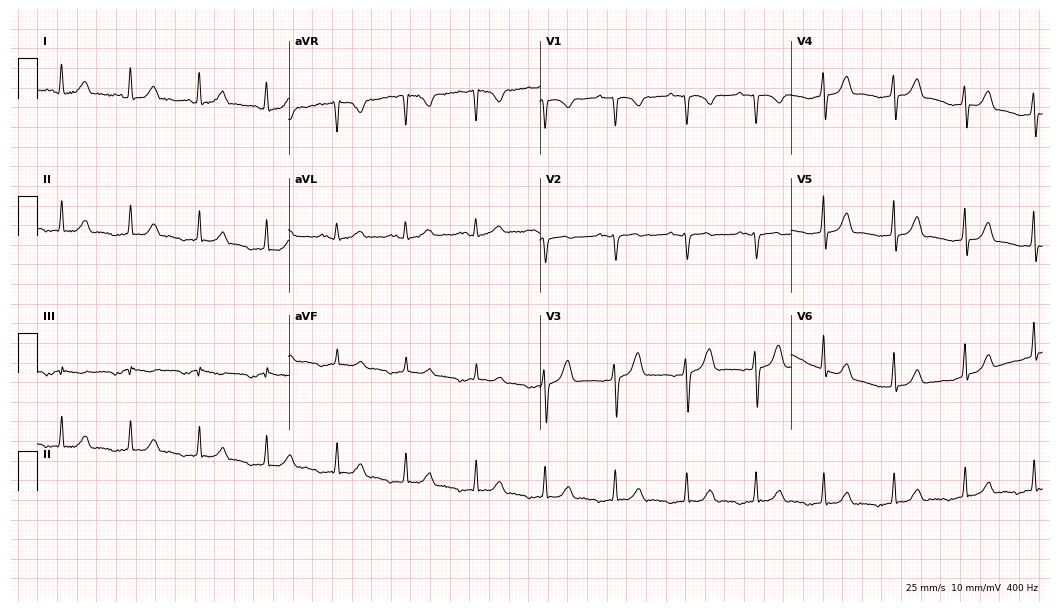
ECG (10.2-second recording at 400 Hz) — a 28-year-old female. Screened for six findings — first-degree AV block, right bundle branch block (RBBB), left bundle branch block (LBBB), sinus bradycardia, atrial fibrillation (AF), sinus tachycardia — none is recorded. Findings outside these six are not listed.